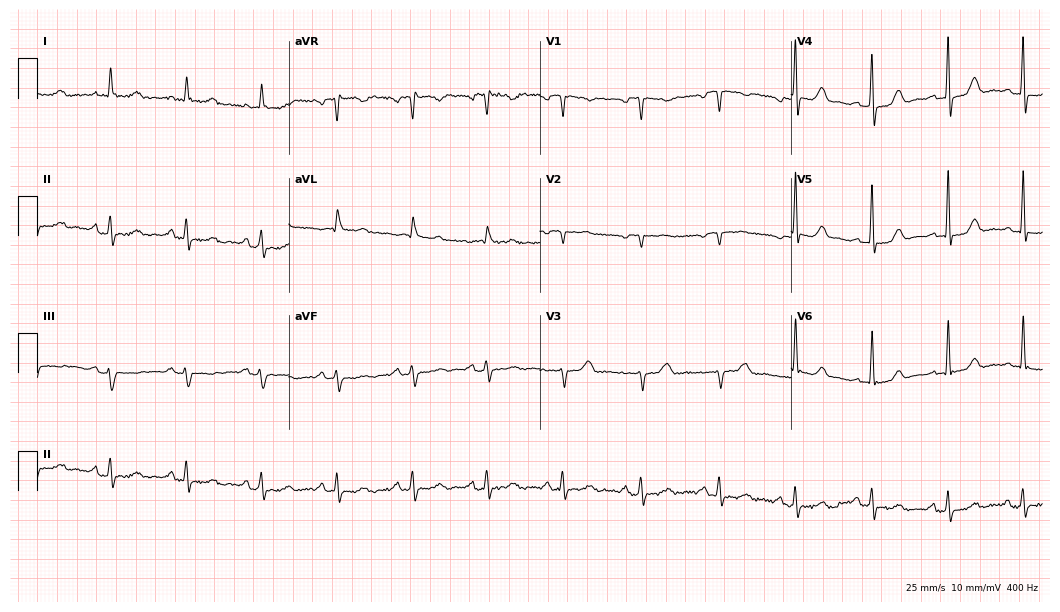
ECG — a female, 74 years old. Labelled as a normal ECG.